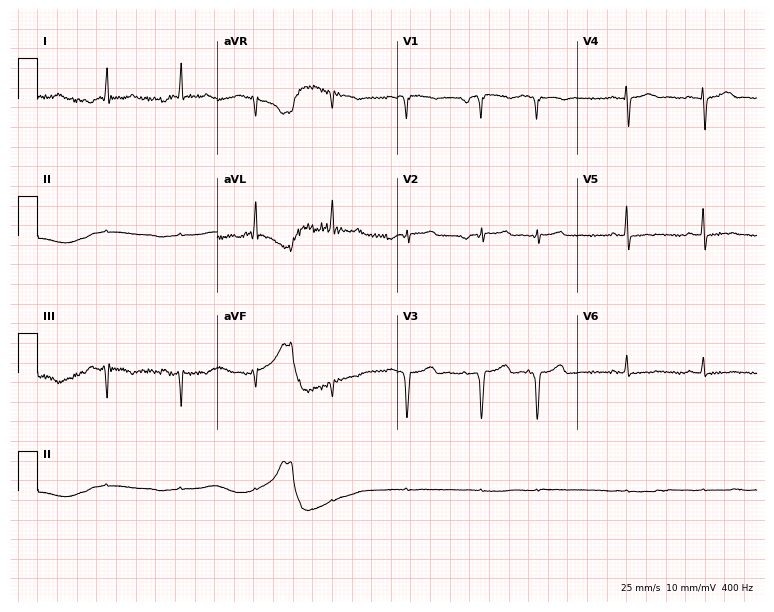
Resting 12-lead electrocardiogram. Patient: a male, 77 years old. None of these six findings is recorded: first-degree AV block, right bundle branch block, left bundle branch block, sinus bradycardia, atrial fibrillation, sinus tachycardia. Other findings, if any, are not listed.